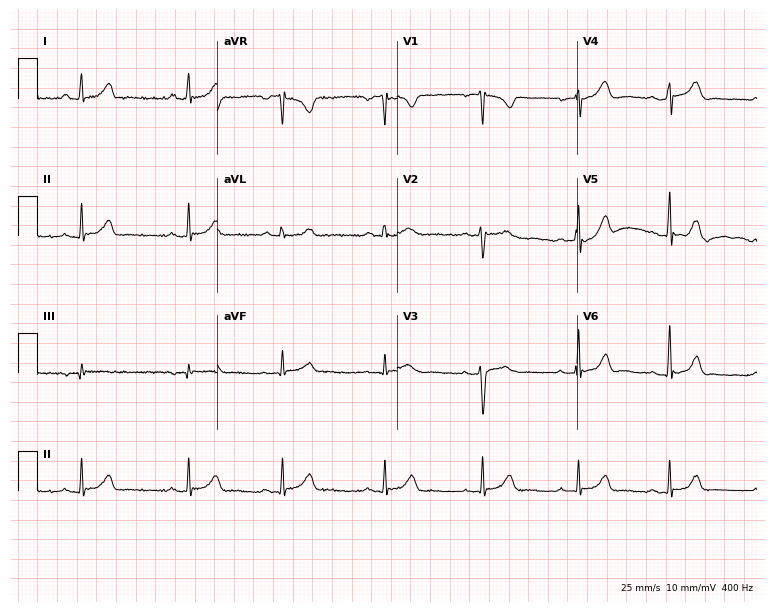
Resting 12-lead electrocardiogram. Patient: a 27-year-old woman. None of these six findings is recorded: first-degree AV block, right bundle branch block, left bundle branch block, sinus bradycardia, atrial fibrillation, sinus tachycardia.